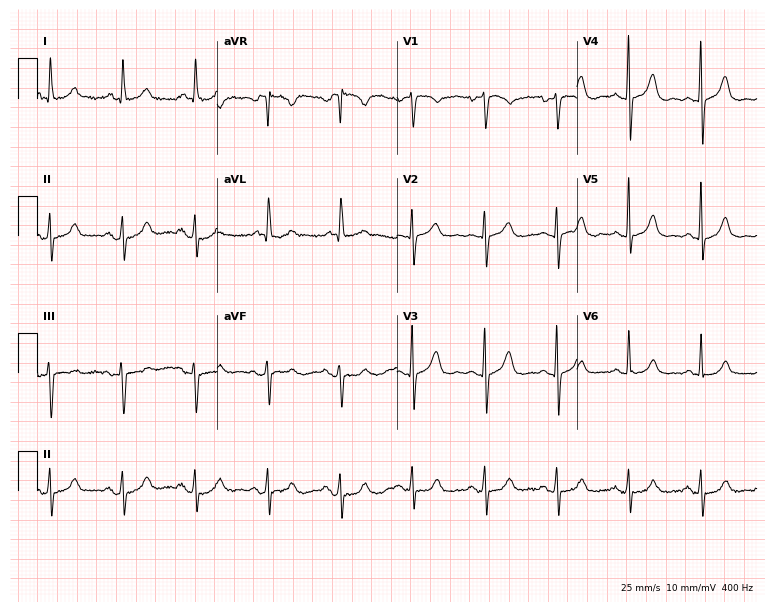
Standard 12-lead ECG recorded from a woman, 80 years old (7.3-second recording at 400 Hz). None of these six findings is recorded: first-degree AV block, right bundle branch block, left bundle branch block, sinus bradycardia, atrial fibrillation, sinus tachycardia. Only these six findings were labelled.